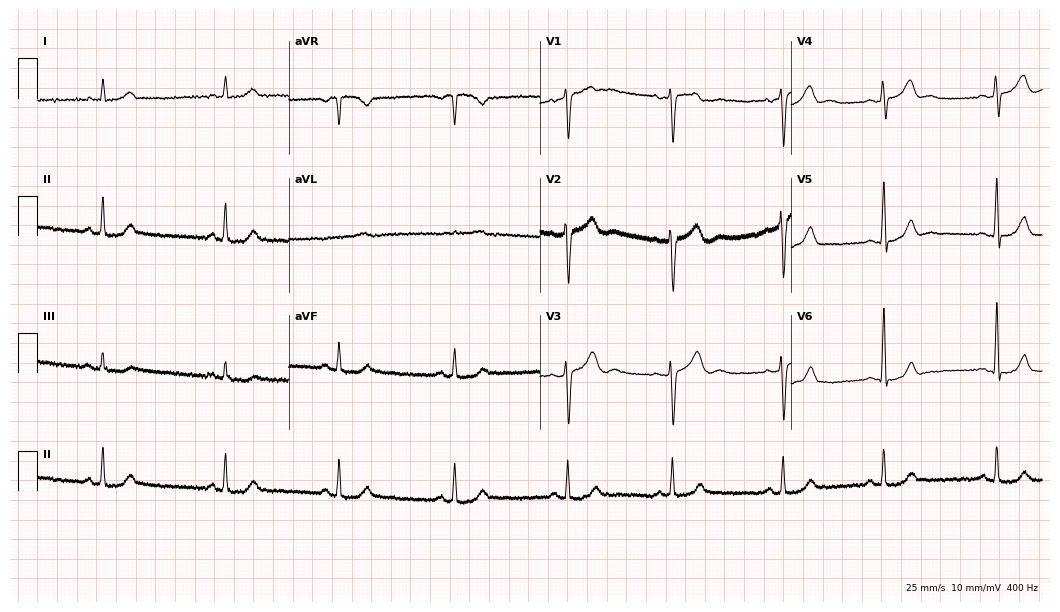
12-lead ECG from a man, 47 years old. No first-degree AV block, right bundle branch block, left bundle branch block, sinus bradycardia, atrial fibrillation or sinus tachycardia recorded for this tracing. Only these six findings were labelled.